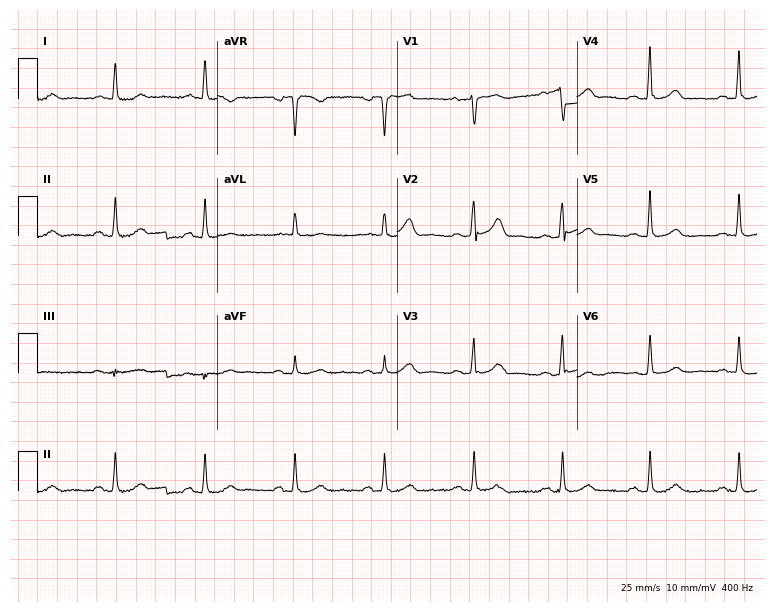
Electrocardiogram, a 61-year-old male. Overall reading on record: normal ECG.